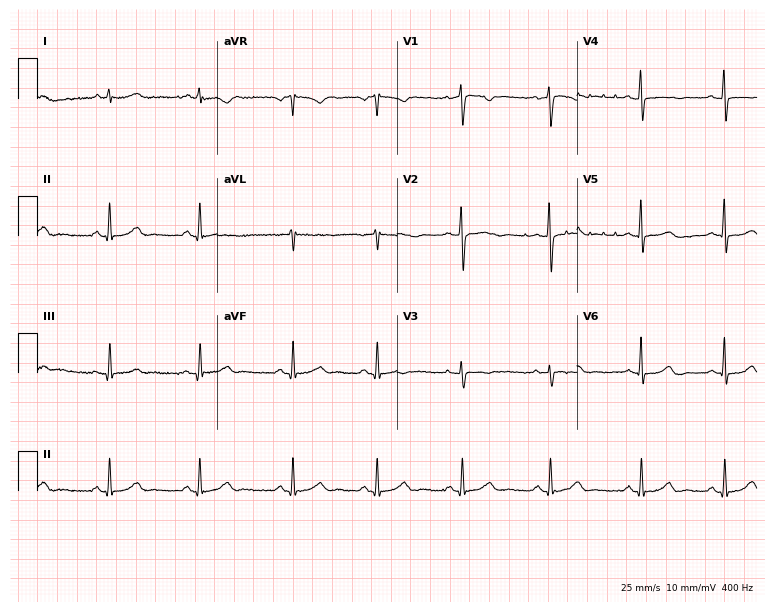
Resting 12-lead electrocardiogram (7.3-second recording at 400 Hz). Patient: a female, 36 years old. Read as a normal ECG.